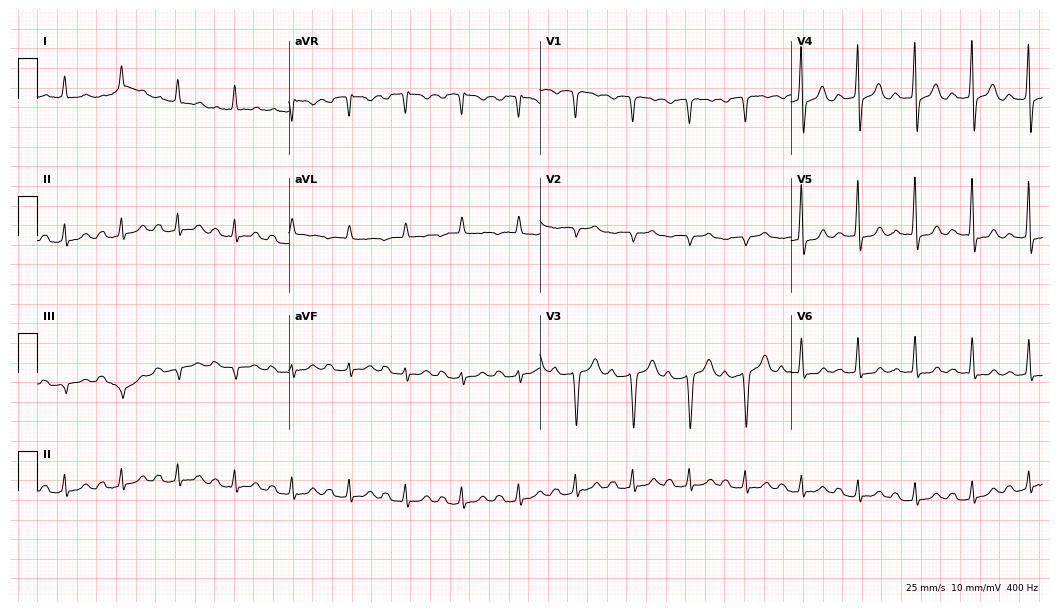
12-lead ECG from a 69-year-old man. Findings include first-degree AV block, sinus tachycardia (a sinus rate of 100 beats per minute or more).